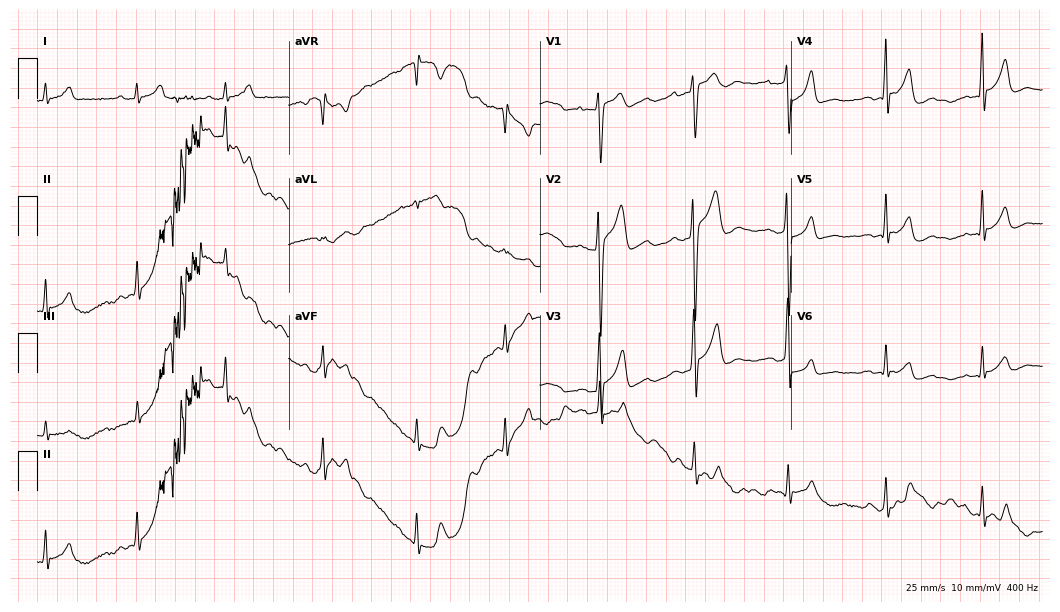
12-lead ECG from a 24-year-old male. Labelled as a normal ECG.